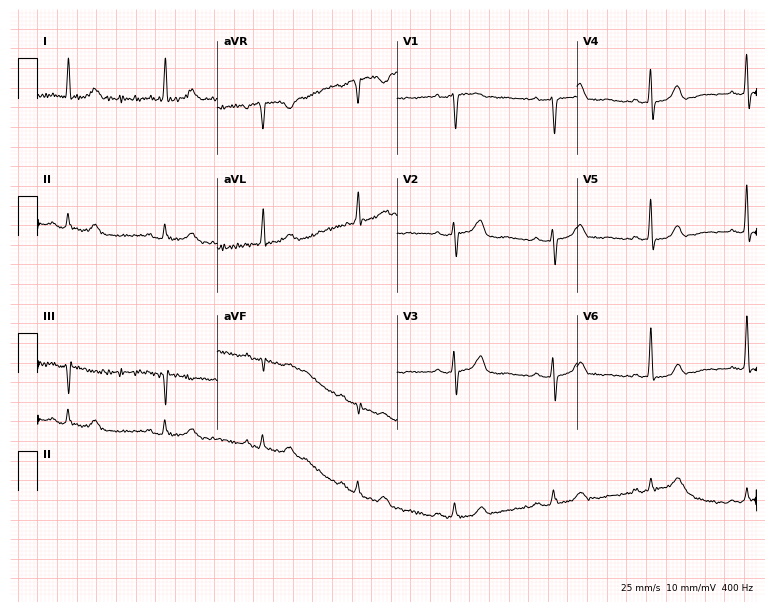
12-lead ECG (7.3-second recording at 400 Hz) from a female patient, 80 years old. Screened for six findings — first-degree AV block, right bundle branch block, left bundle branch block, sinus bradycardia, atrial fibrillation, sinus tachycardia — none is recorded. Only these six findings were labelled.